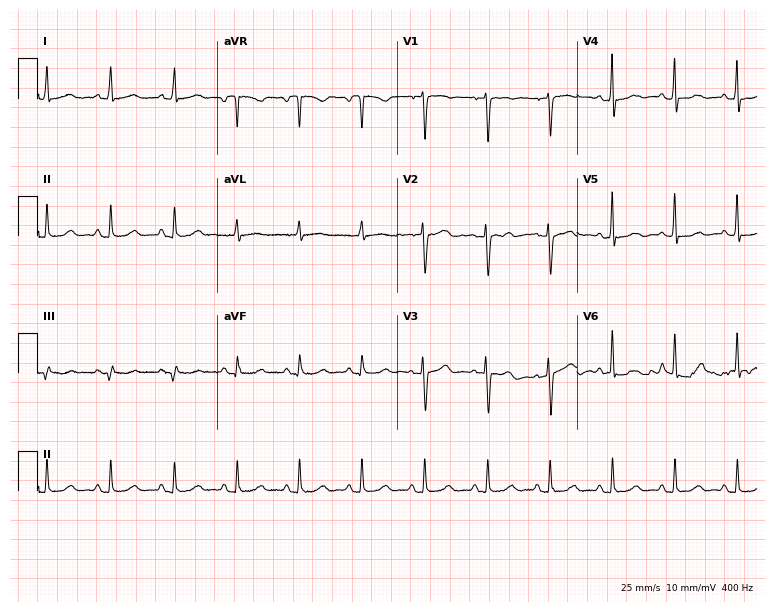
Electrocardiogram, a 65-year-old female patient. Overall reading on record: normal ECG.